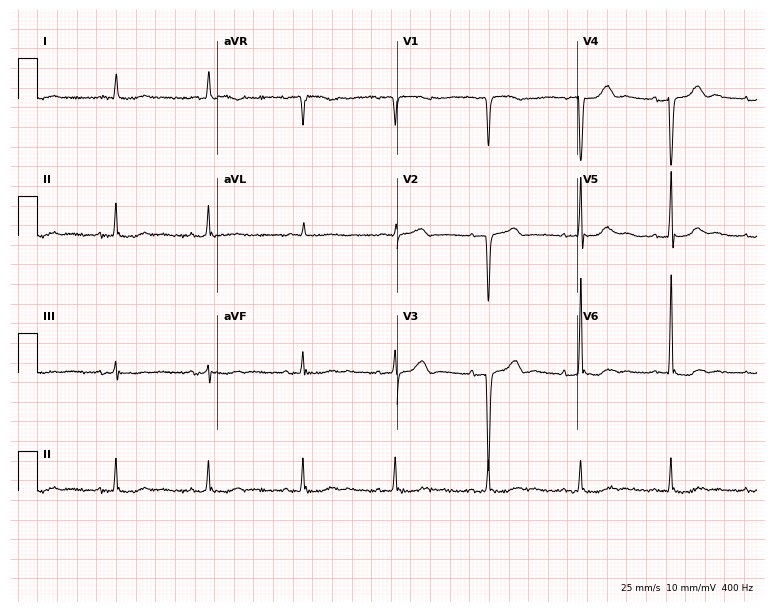
Standard 12-lead ECG recorded from a male, 72 years old. None of these six findings is recorded: first-degree AV block, right bundle branch block (RBBB), left bundle branch block (LBBB), sinus bradycardia, atrial fibrillation (AF), sinus tachycardia.